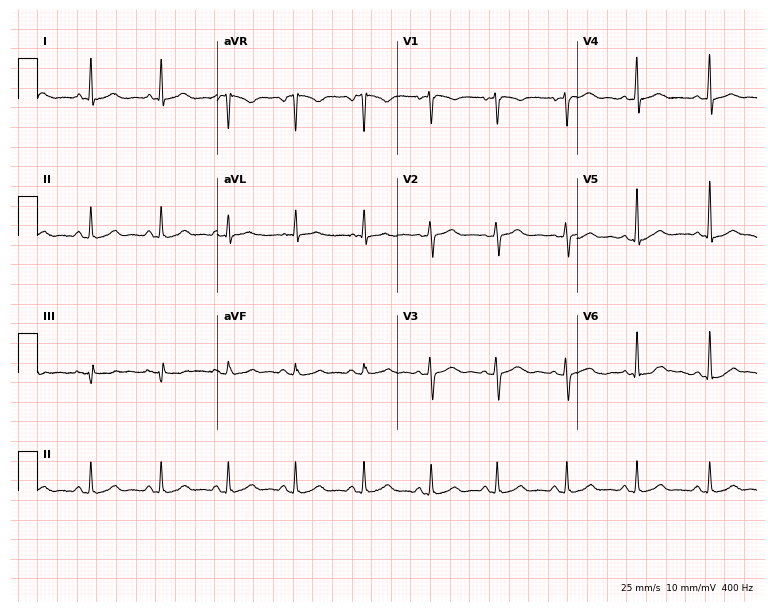
12-lead ECG from a woman, 45 years old. No first-degree AV block, right bundle branch block, left bundle branch block, sinus bradycardia, atrial fibrillation or sinus tachycardia recorded for this tracing. Findings outside these six are not listed.